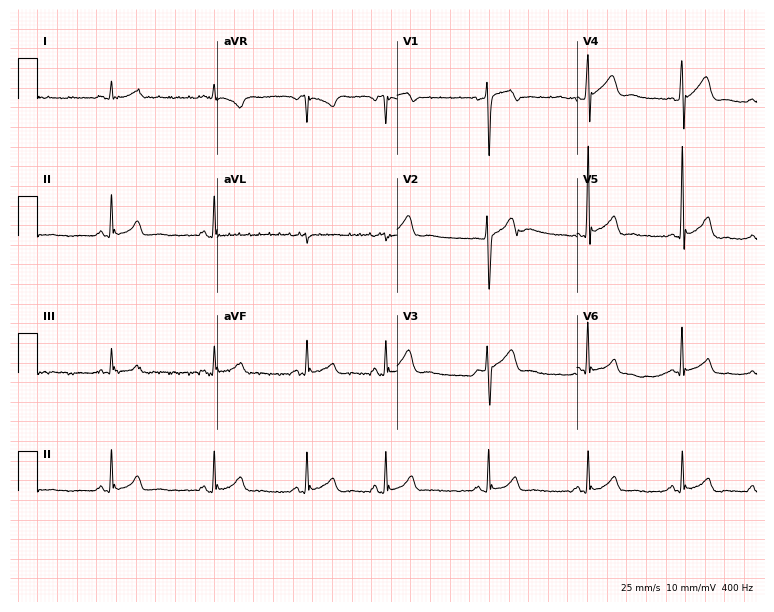
12-lead ECG (7.3-second recording at 400 Hz) from a 24-year-old male patient. Labelled as a normal ECG.